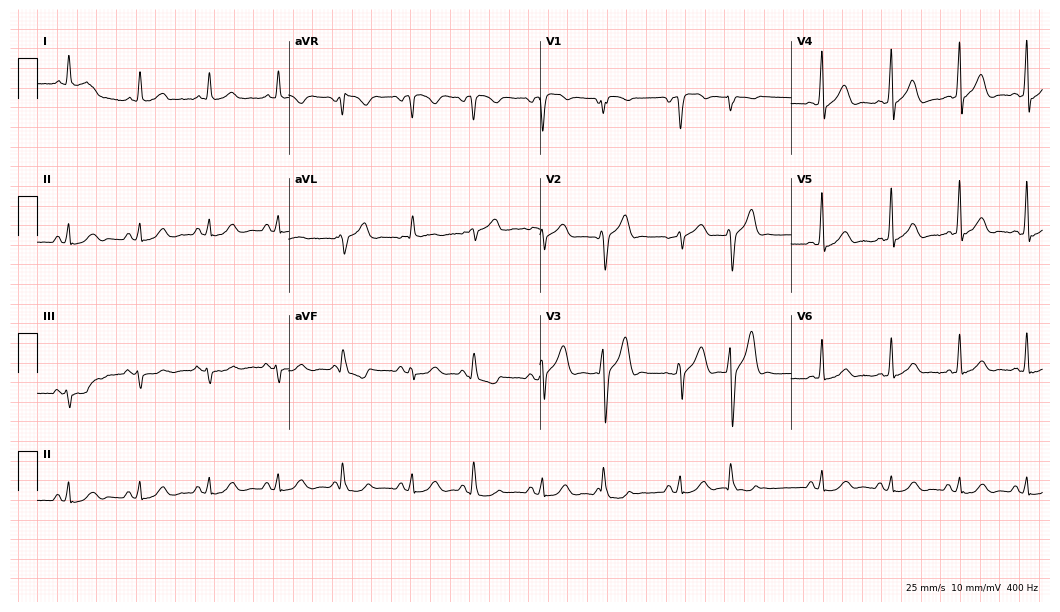
Electrocardiogram, a male, 58 years old. Of the six screened findings (first-degree AV block, right bundle branch block, left bundle branch block, sinus bradycardia, atrial fibrillation, sinus tachycardia), none is recorded. Findings outside these six are not listed.